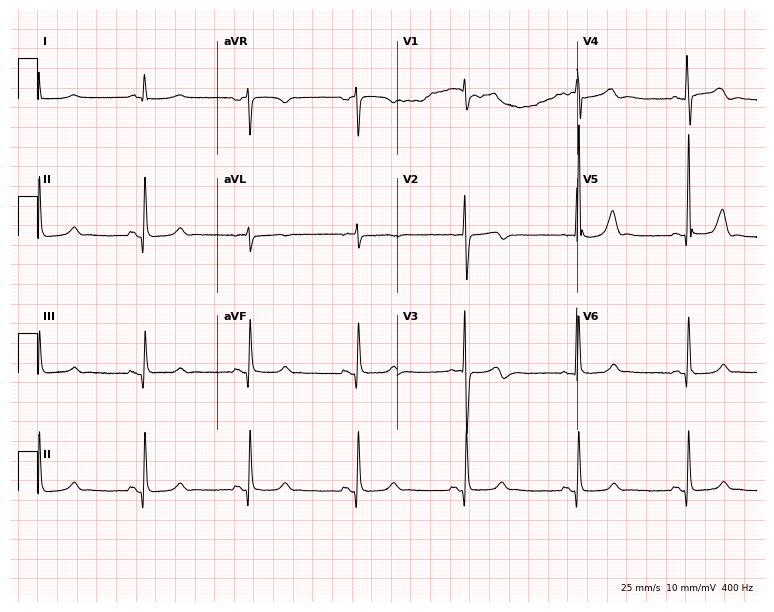
12-lead ECG from a male patient, 62 years old (7.3-second recording at 400 Hz). Recorded interpretation: within normal limits.